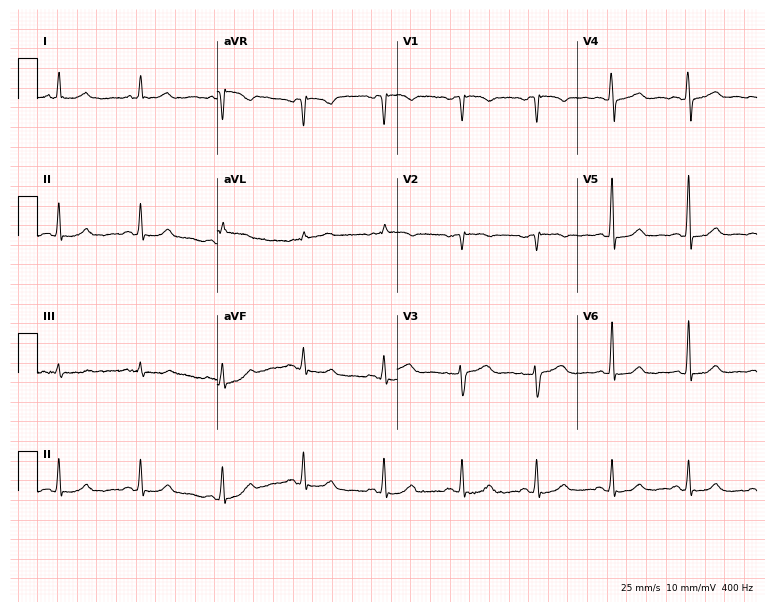
Electrocardiogram, a female, 50 years old. Of the six screened findings (first-degree AV block, right bundle branch block, left bundle branch block, sinus bradycardia, atrial fibrillation, sinus tachycardia), none is recorded.